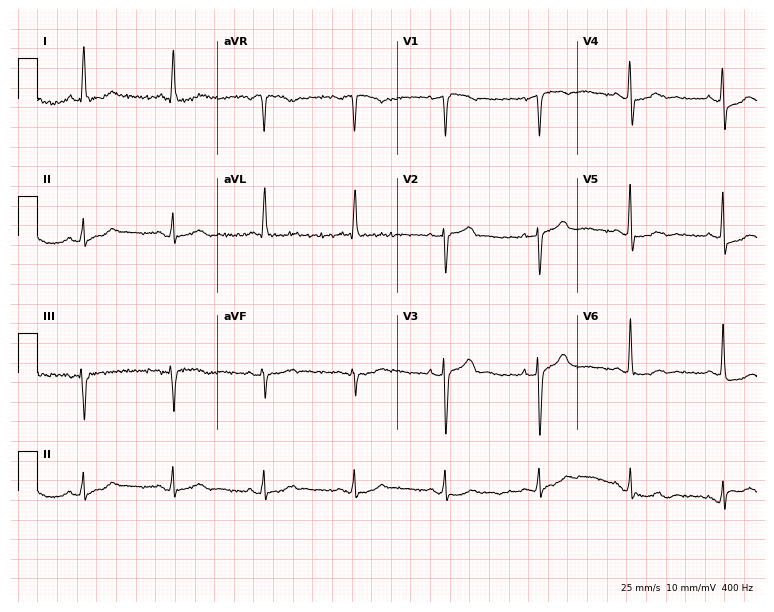
Resting 12-lead electrocardiogram. Patient: a female, 62 years old. None of these six findings is recorded: first-degree AV block, right bundle branch block (RBBB), left bundle branch block (LBBB), sinus bradycardia, atrial fibrillation (AF), sinus tachycardia. Only these six findings were labelled.